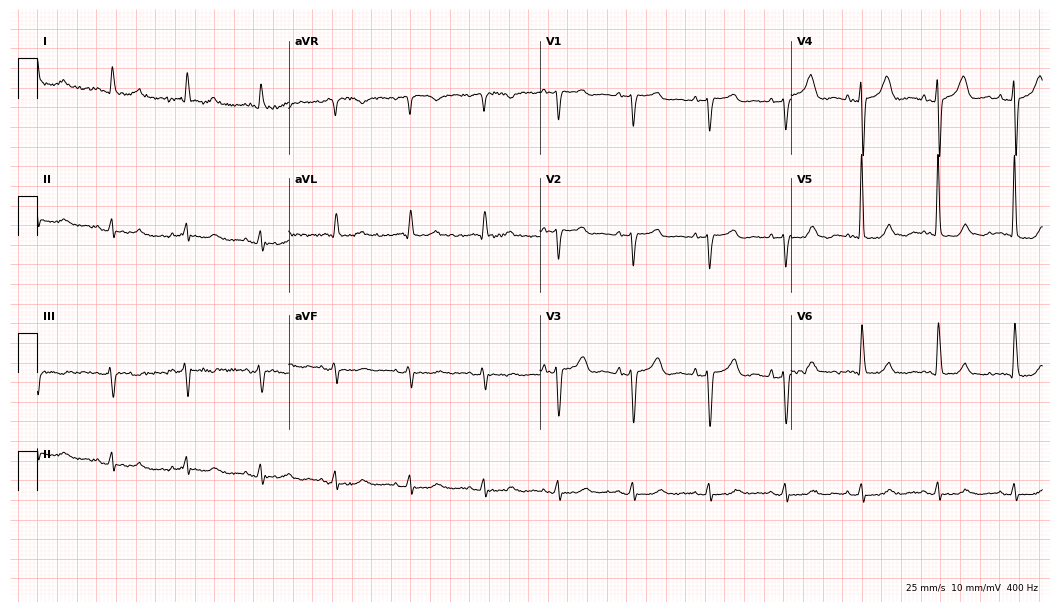
12-lead ECG from a 78-year-old man. Labelled as a normal ECG.